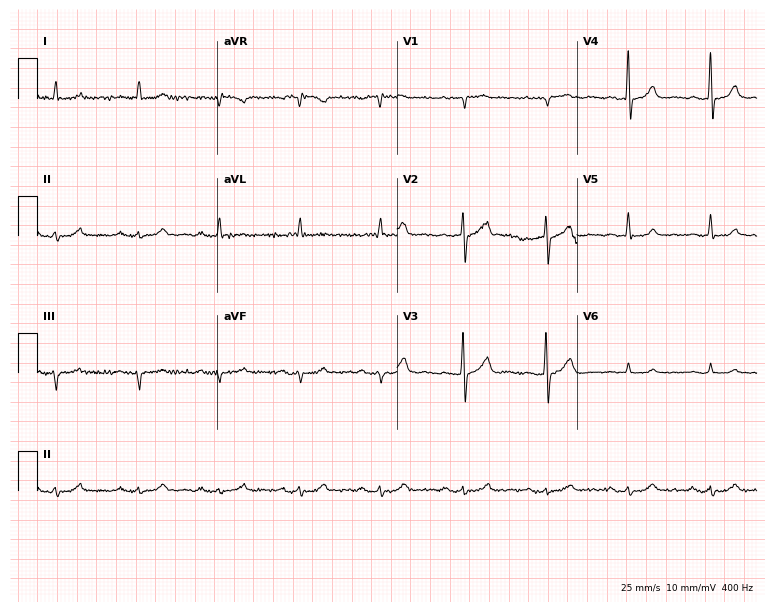
Resting 12-lead electrocardiogram (7.3-second recording at 400 Hz). Patient: a man, 84 years old. None of these six findings is recorded: first-degree AV block, right bundle branch block, left bundle branch block, sinus bradycardia, atrial fibrillation, sinus tachycardia.